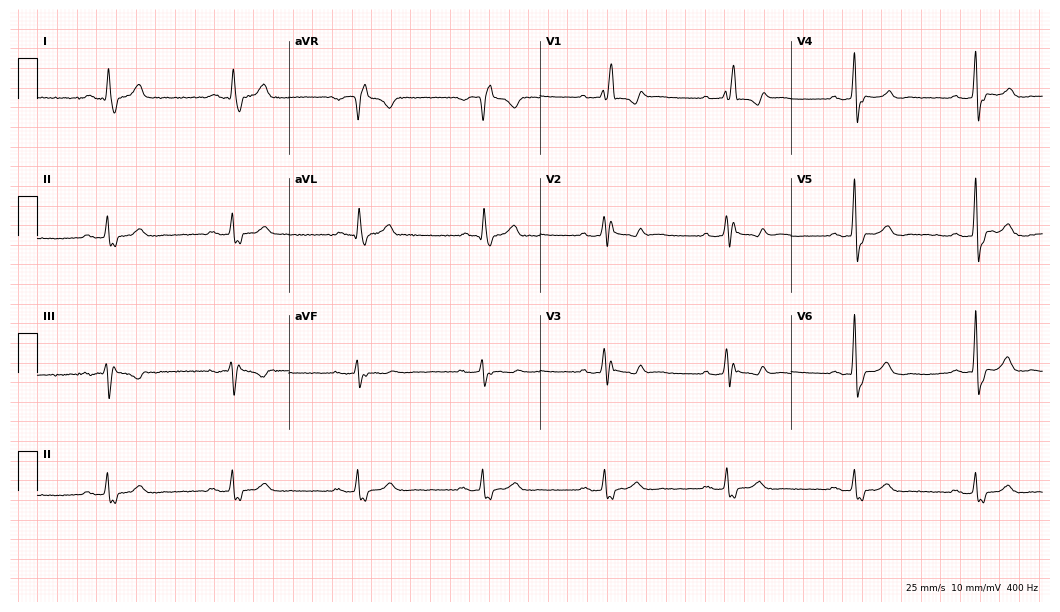
12-lead ECG from a man, 56 years old. Shows right bundle branch block (RBBB), sinus bradycardia (a sinus rate of 50 beats per minute or less).